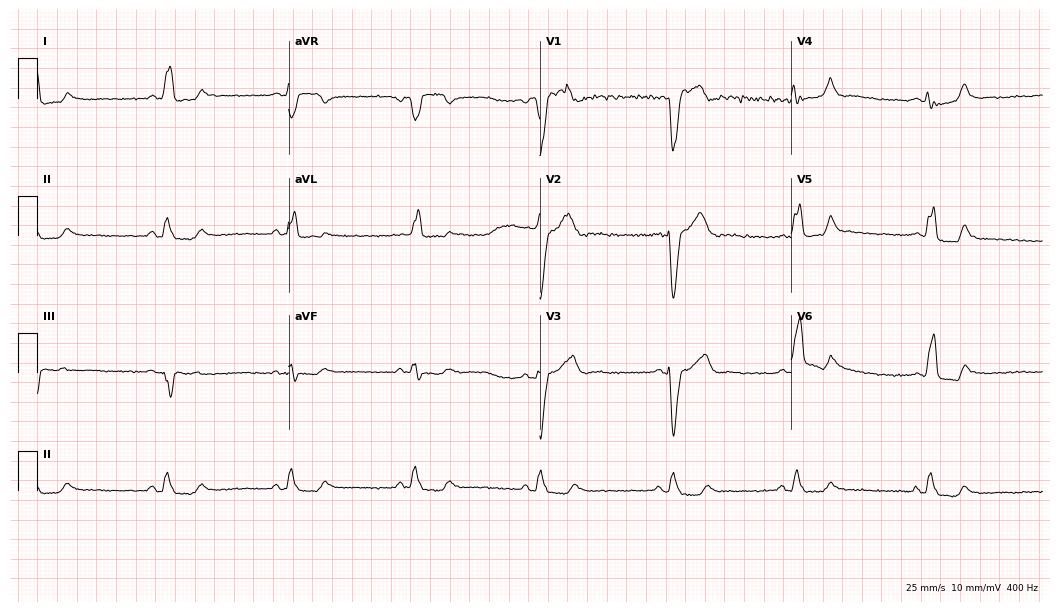
ECG (10.2-second recording at 400 Hz) — a male patient, 52 years old. Findings include left bundle branch block, sinus bradycardia (a sinus rate of 50 beats per minute or less).